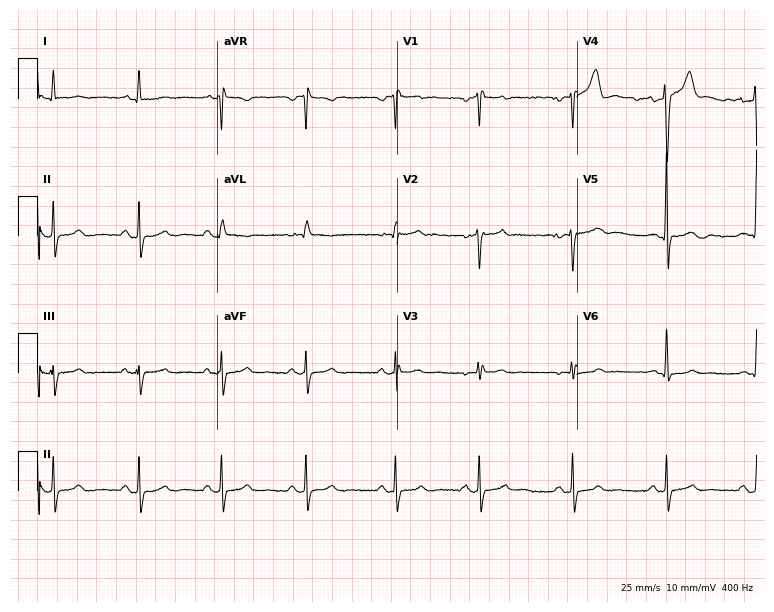
Electrocardiogram, a 28-year-old male patient. Of the six screened findings (first-degree AV block, right bundle branch block (RBBB), left bundle branch block (LBBB), sinus bradycardia, atrial fibrillation (AF), sinus tachycardia), none is recorded.